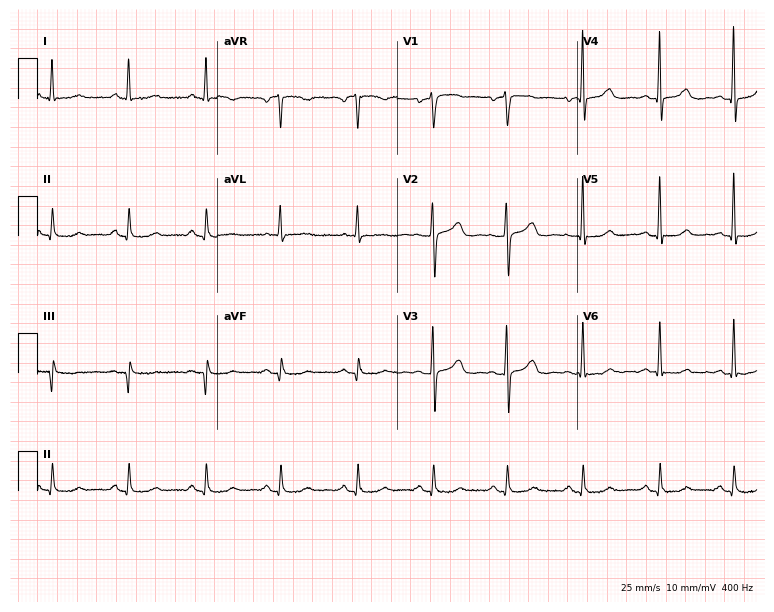
12-lead ECG from a female, 51 years old. Recorded interpretation: within normal limits.